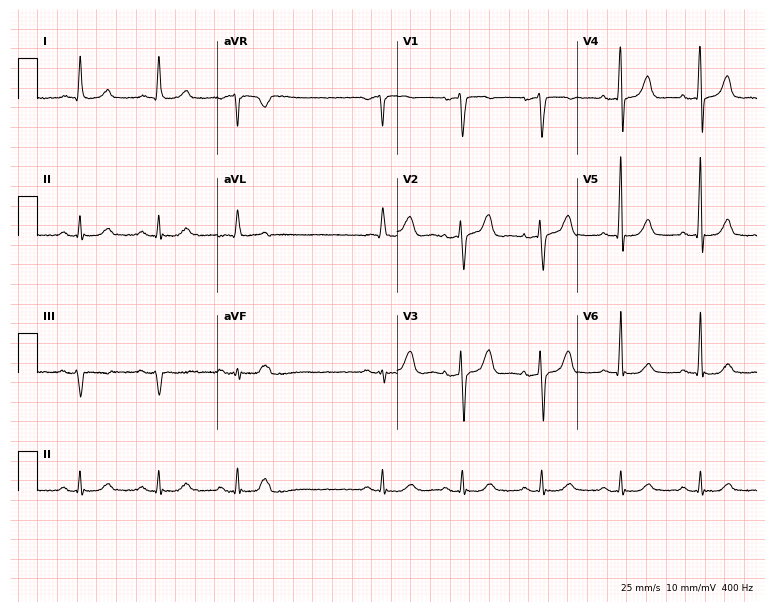
12-lead ECG from a 78-year-old male patient. Labelled as a normal ECG.